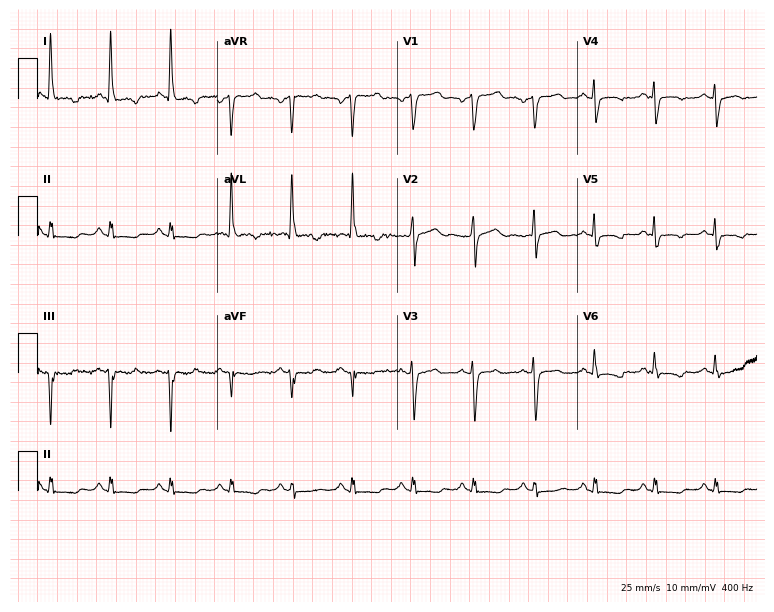
12-lead ECG from a female patient, 79 years old. No first-degree AV block, right bundle branch block, left bundle branch block, sinus bradycardia, atrial fibrillation or sinus tachycardia recorded for this tracing.